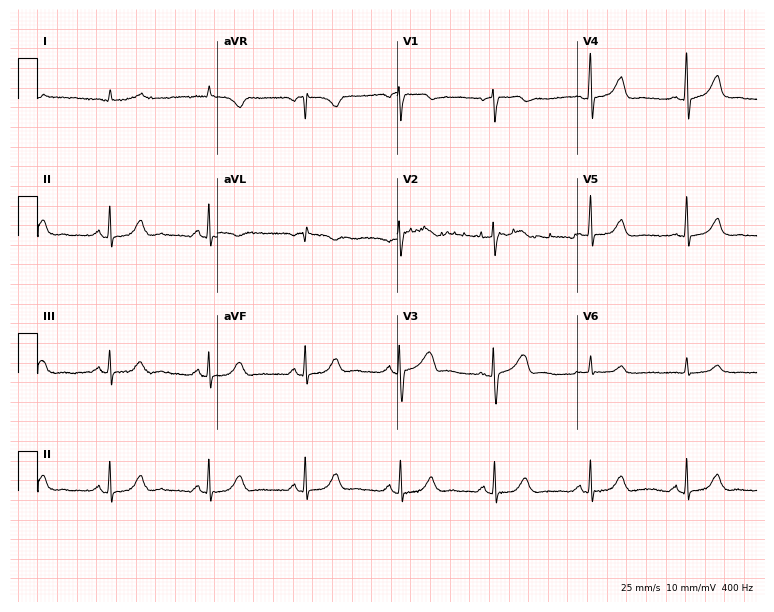
12-lead ECG from a 76-year-old male (7.3-second recording at 400 Hz). No first-degree AV block, right bundle branch block (RBBB), left bundle branch block (LBBB), sinus bradycardia, atrial fibrillation (AF) or sinus tachycardia recorded for this tracing.